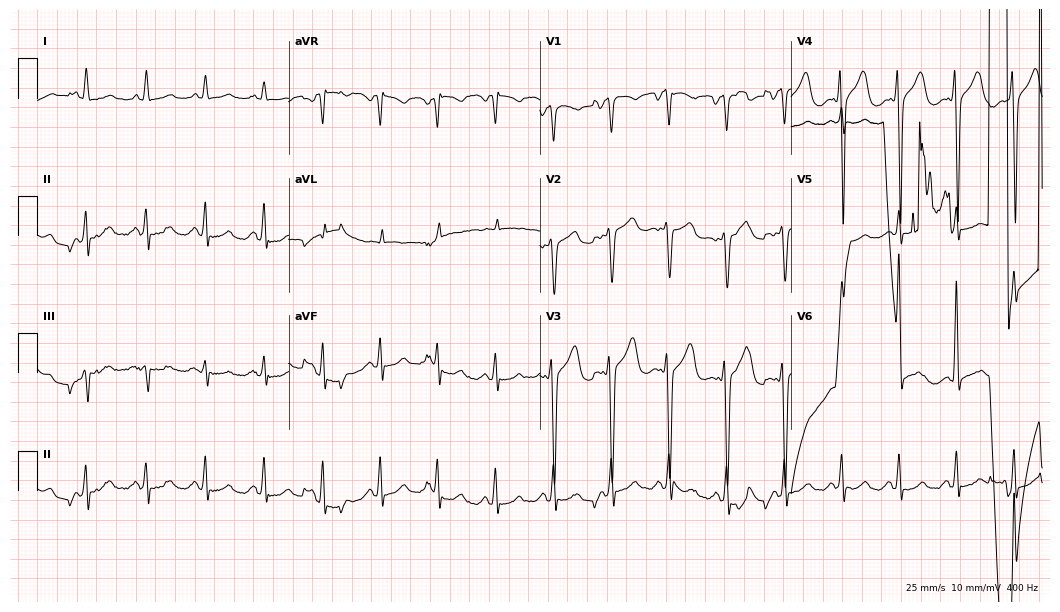
ECG (10.2-second recording at 400 Hz) — a male patient, 72 years old. Screened for six findings — first-degree AV block, right bundle branch block, left bundle branch block, sinus bradycardia, atrial fibrillation, sinus tachycardia — none is recorded. Findings outside these six are not listed.